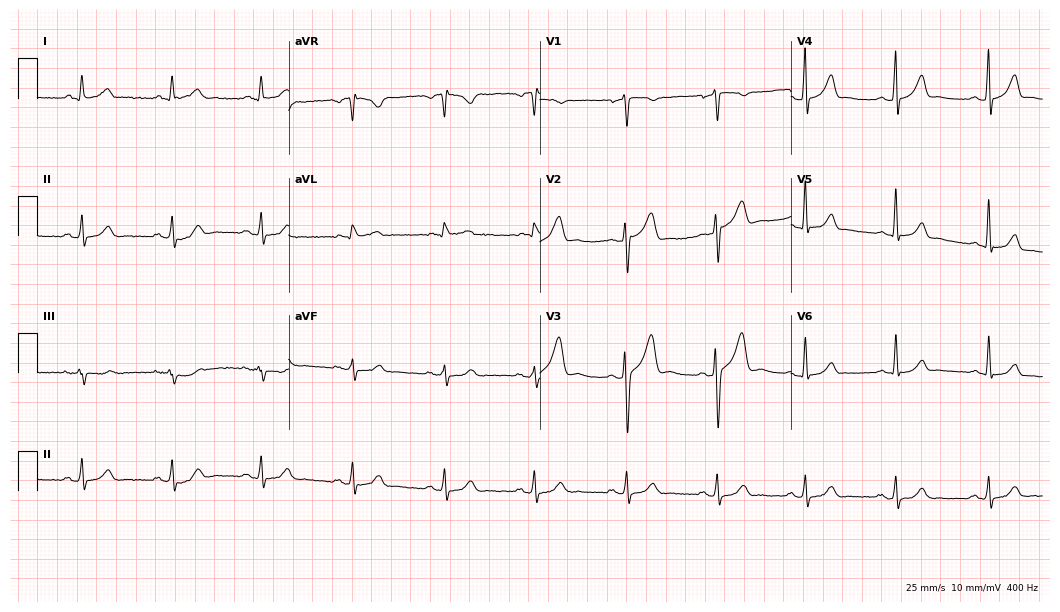
Electrocardiogram, a male, 36 years old. Overall reading on record: normal ECG.